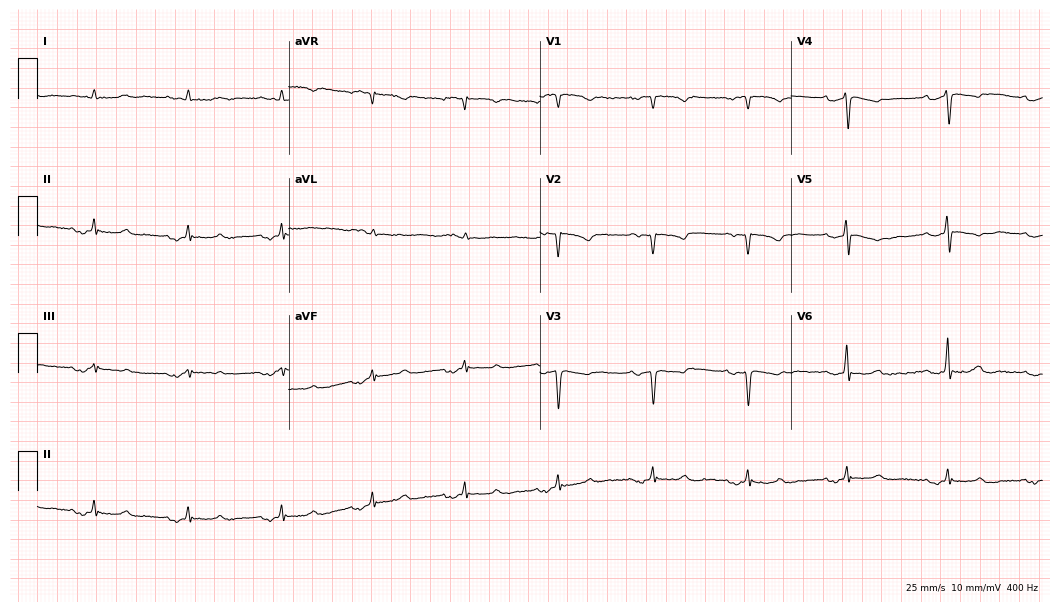
12-lead ECG from a female, 45 years old. Screened for six findings — first-degree AV block, right bundle branch block (RBBB), left bundle branch block (LBBB), sinus bradycardia, atrial fibrillation (AF), sinus tachycardia — none is recorded.